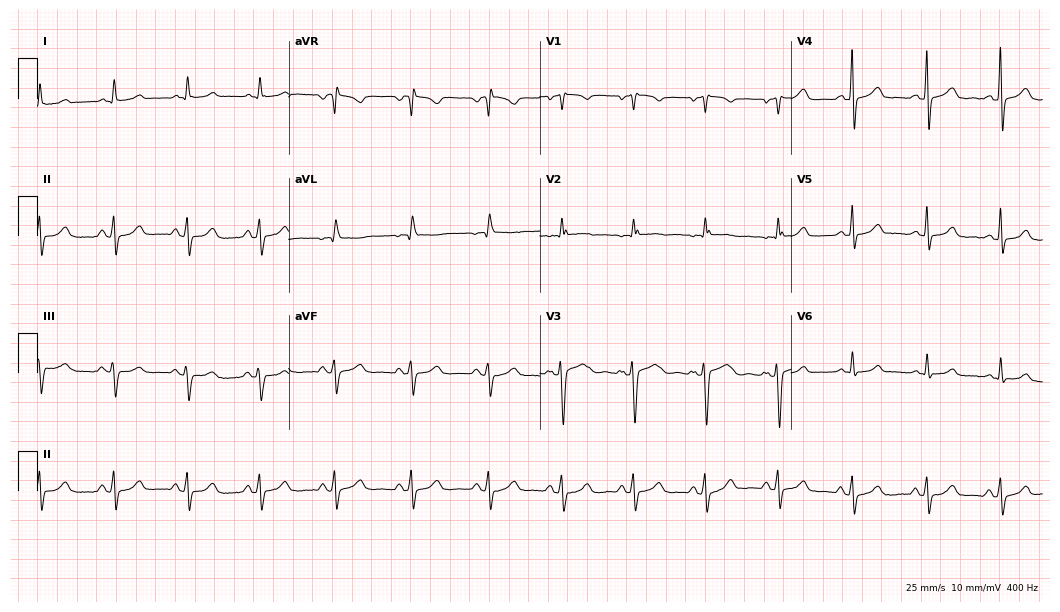
12-lead ECG from a female patient, 45 years old. No first-degree AV block, right bundle branch block, left bundle branch block, sinus bradycardia, atrial fibrillation or sinus tachycardia recorded for this tracing. Other findings, if any, are not listed.